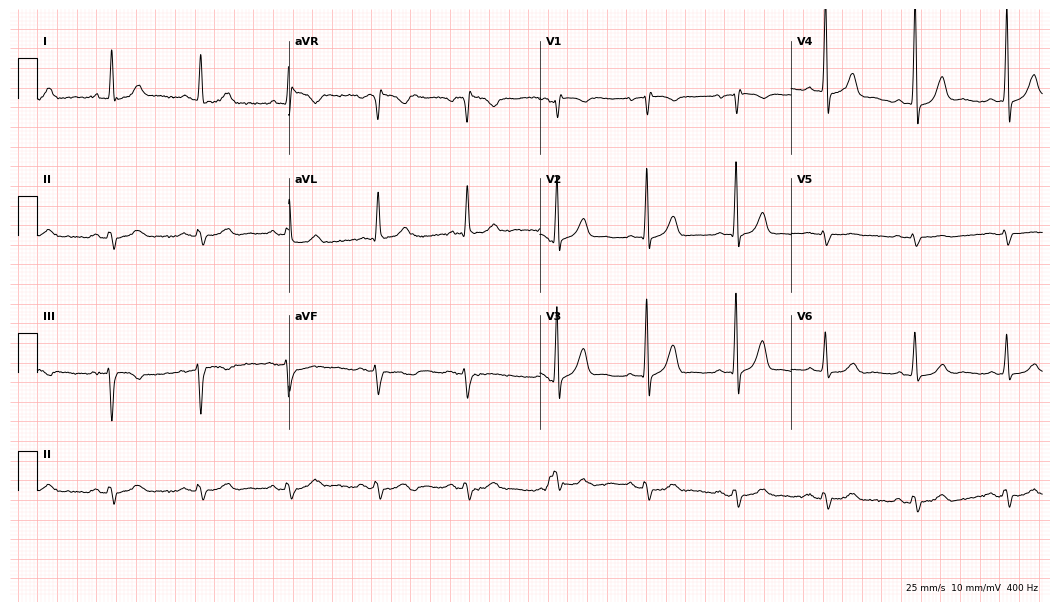
ECG (10.2-second recording at 400 Hz) — a 69-year-old male patient. Screened for six findings — first-degree AV block, right bundle branch block (RBBB), left bundle branch block (LBBB), sinus bradycardia, atrial fibrillation (AF), sinus tachycardia — none is recorded.